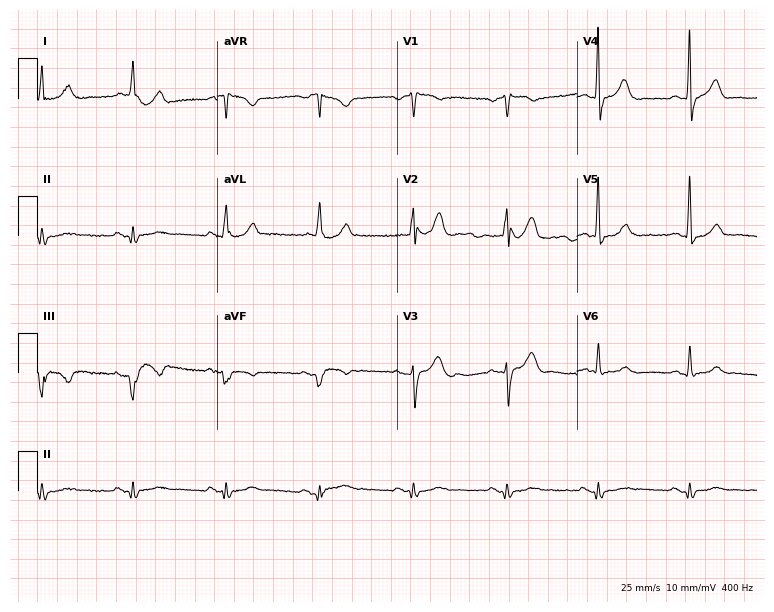
Resting 12-lead electrocardiogram (7.3-second recording at 400 Hz). Patient: a man, 74 years old. Read as a normal ECG.